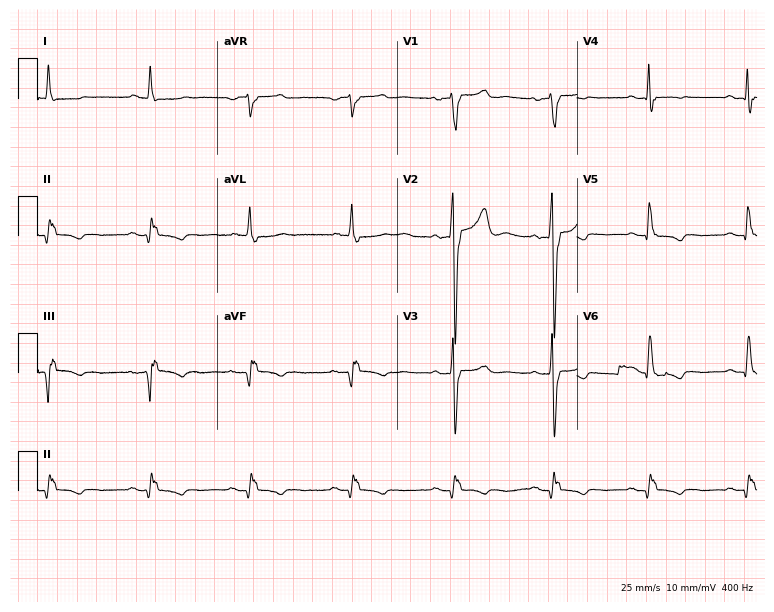
Standard 12-lead ECG recorded from a male patient, 80 years old (7.3-second recording at 400 Hz). None of these six findings is recorded: first-degree AV block, right bundle branch block, left bundle branch block, sinus bradycardia, atrial fibrillation, sinus tachycardia.